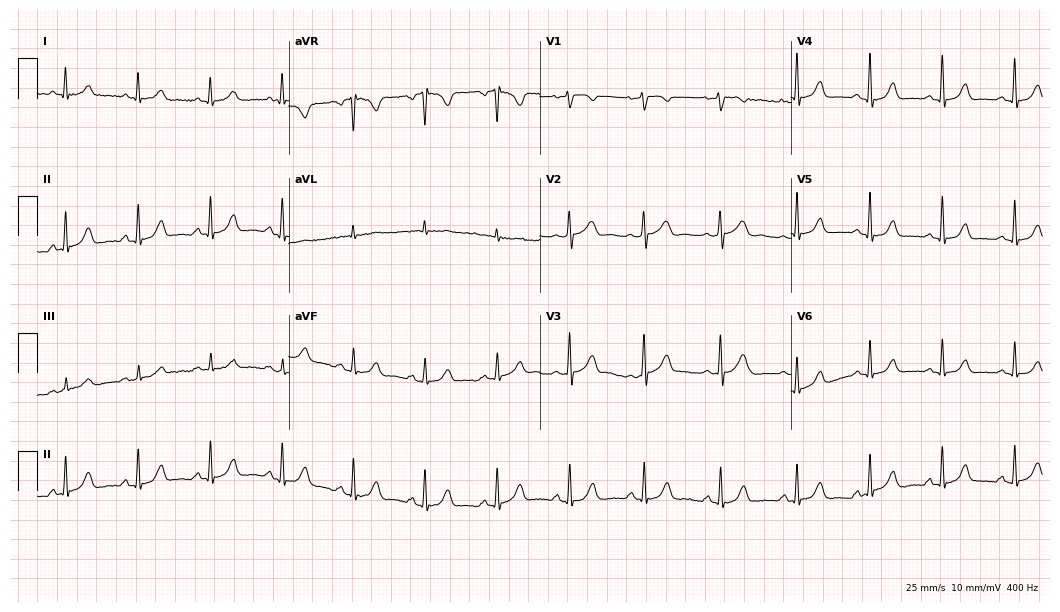
ECG (10.2-second recording at 400 Hz) — a female, 60 years old. Labelled as a normal ECG.